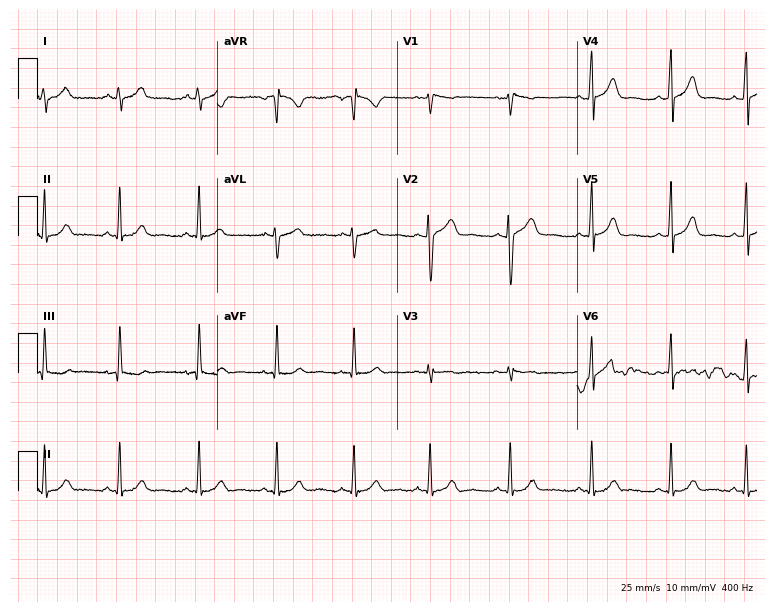
Resting 12-lead electrocardiogram (7.3-second recording at 400 Hz). Patient: a female, 21 years old. Read as a normal ECG.